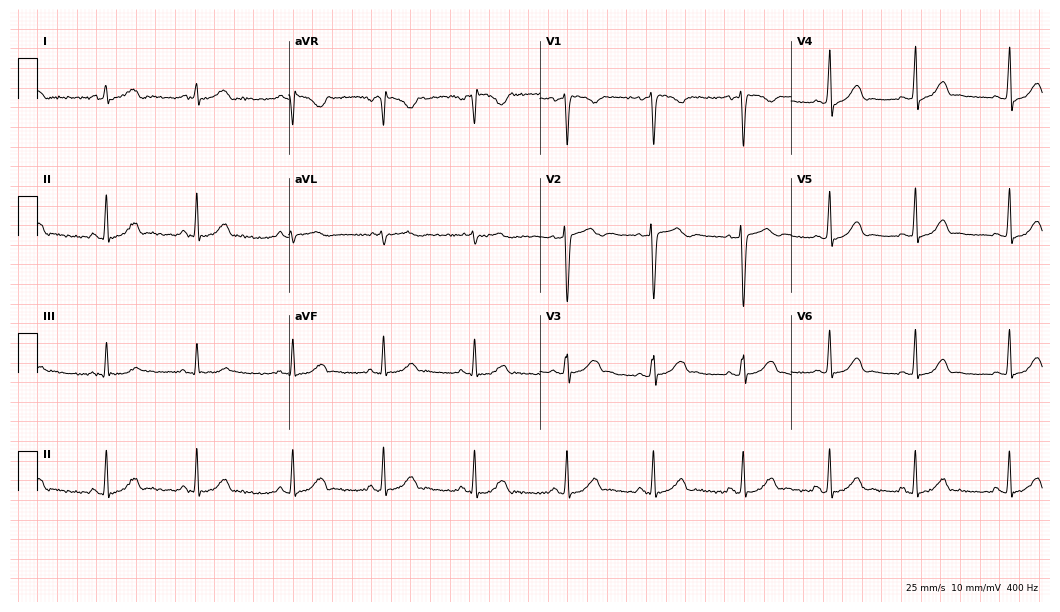
12-lead ECG from a 17-year-old female. Recorded interpretation: within normal limits.